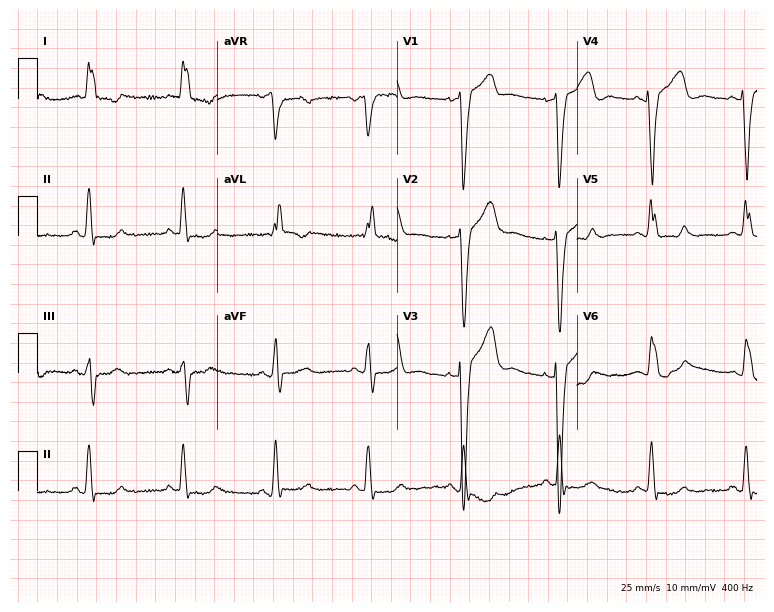
Resting 12-lead electrocardiogram. Patient: a 77-year-old woman. The tracing shows left bundle branch block (LBBB).